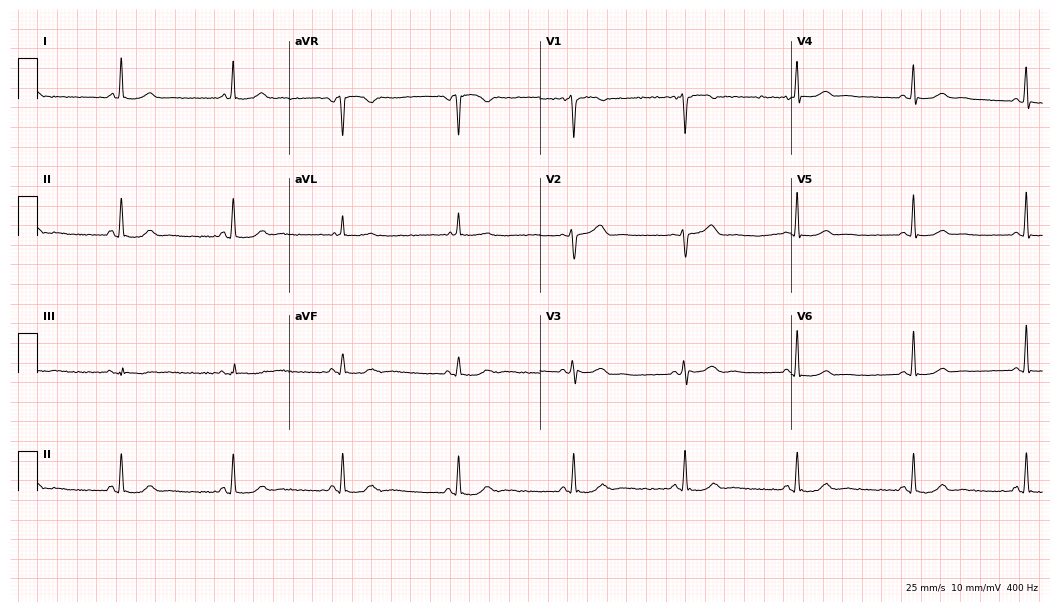
Electrocardiogram (10.2-second recording at 400 Hz), a woman, 35 years old. Overall reading on record: normal ECG.